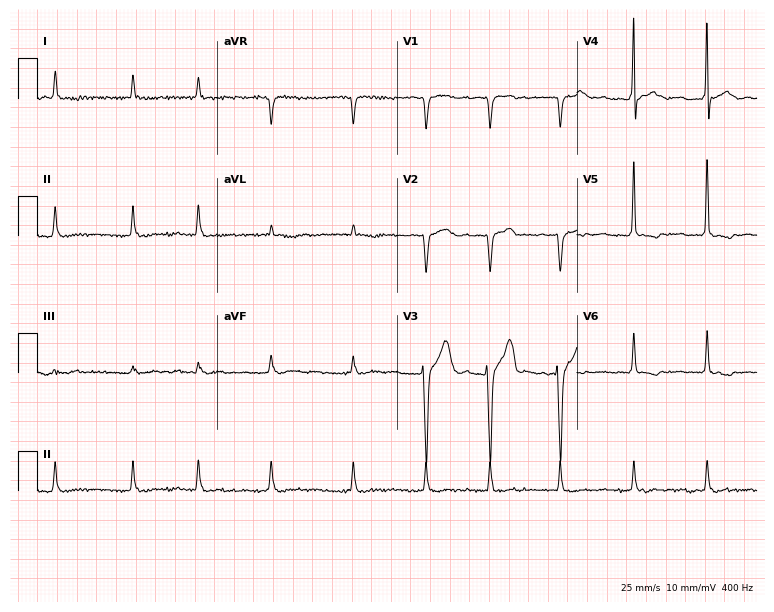
12-lead ECG from a man, 77 years old (7.3-second recording at 400 Hz). No first-degree AV block, right bundle branch block, left bundle branch block, sinus bradycardia, atrial fibrillation or sinus tachycardia recorded for this tracing.